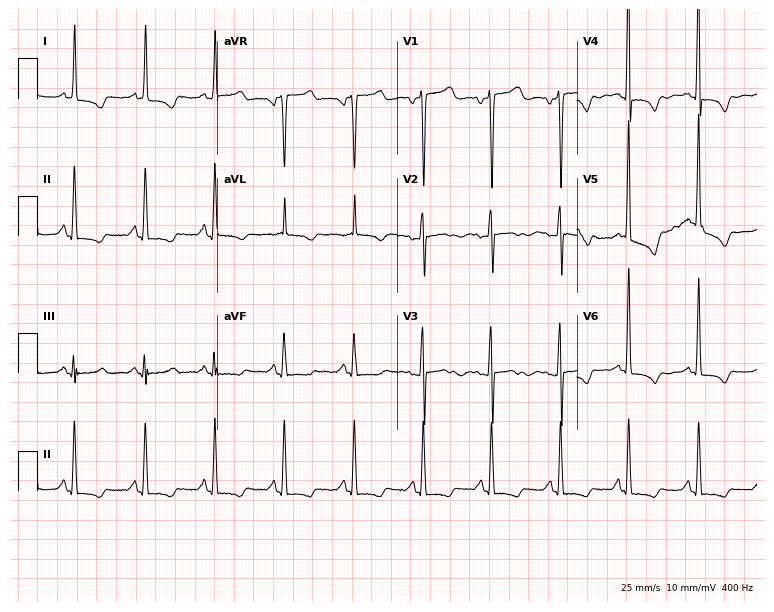
Standard 12-lead ECG recorded from a female patient, 67 years old. None of these six findings is recorded: first-degree AV block, right bundle branch block, left bundle branch block, sinus bradycardia, atrial fibrillation, sinus tachycardia.